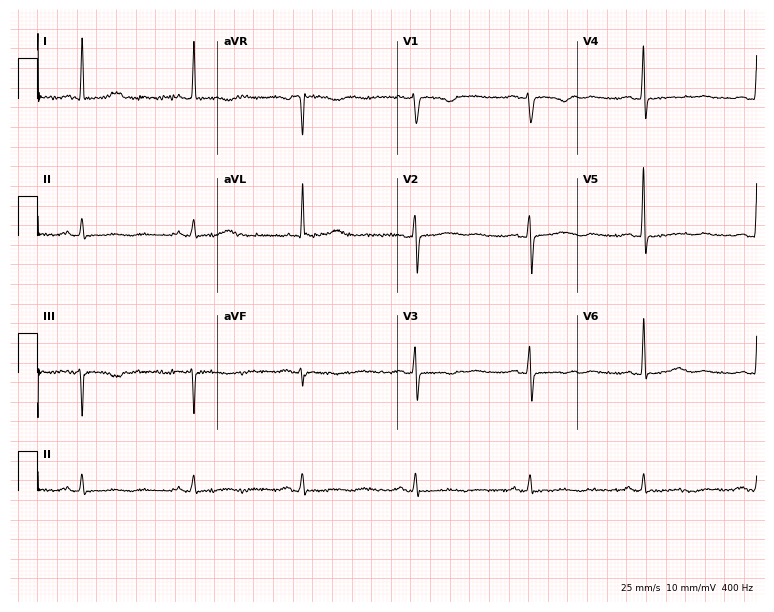
Standard 12-lead ECG recorded from a woman, 79 years old. None of these six findings is recorded: first-degree AV block, right bundle branch block, left bundle branch block, sinus bradycardia, atrial fibrillation, sinus tachycardia.